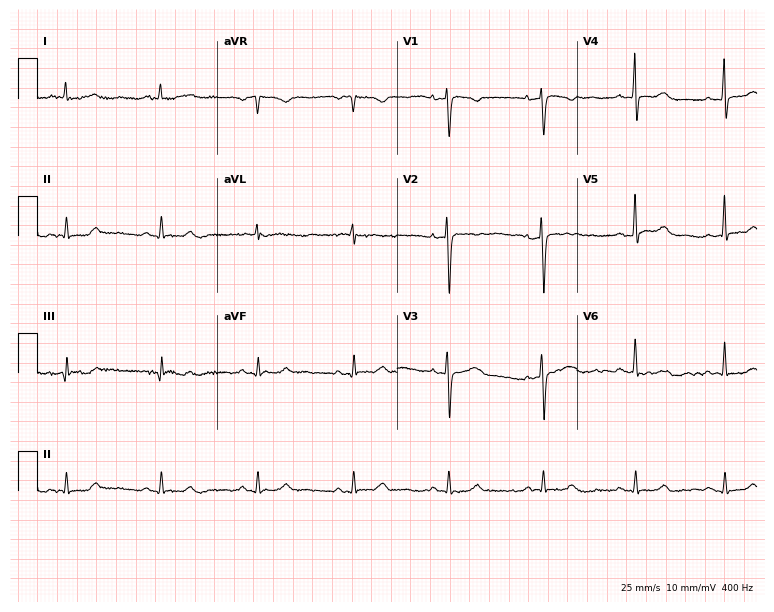
12-lead ECG from a woman, 77 years old (7.3-second recording at 400 Hz). Recorded interpretation: within normal limits.